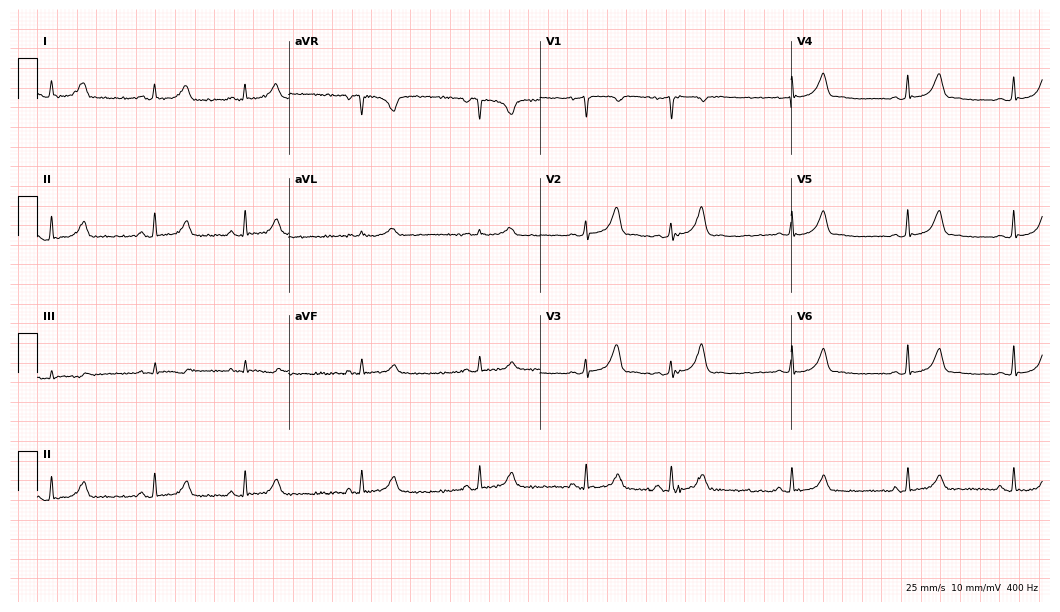
Electrocardiogram (10.2-second recording at 400 Hz), a 25-year-old female. Of the six screened findings (first-degree AV block, right bundle branch block, left bundle branch block, sinus bradycardia, atrial fibrillation, sinus tachycardia), none is recorded. Other findings, if any, are not listed.